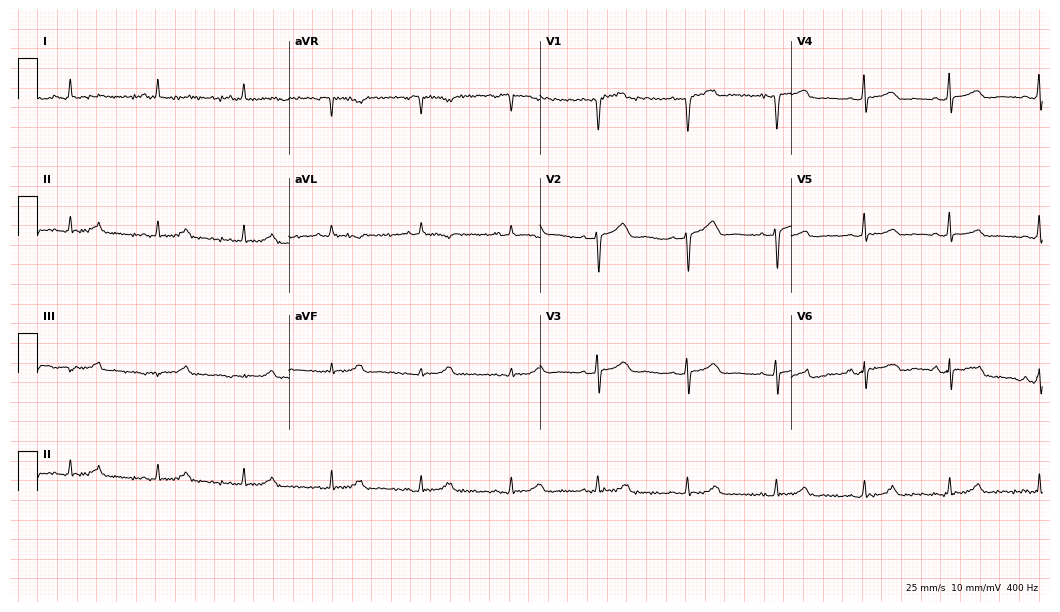
12-lead ECG from a 46-year-old female (10.2-second recording at 400 Hz). No first-degree AV block, right bundle branch block (RBBB), left bundle branch block (LBBB), sinus bradycardia, atrial fibrillation (AF) or sinus tachycardia recorded for this tracing.